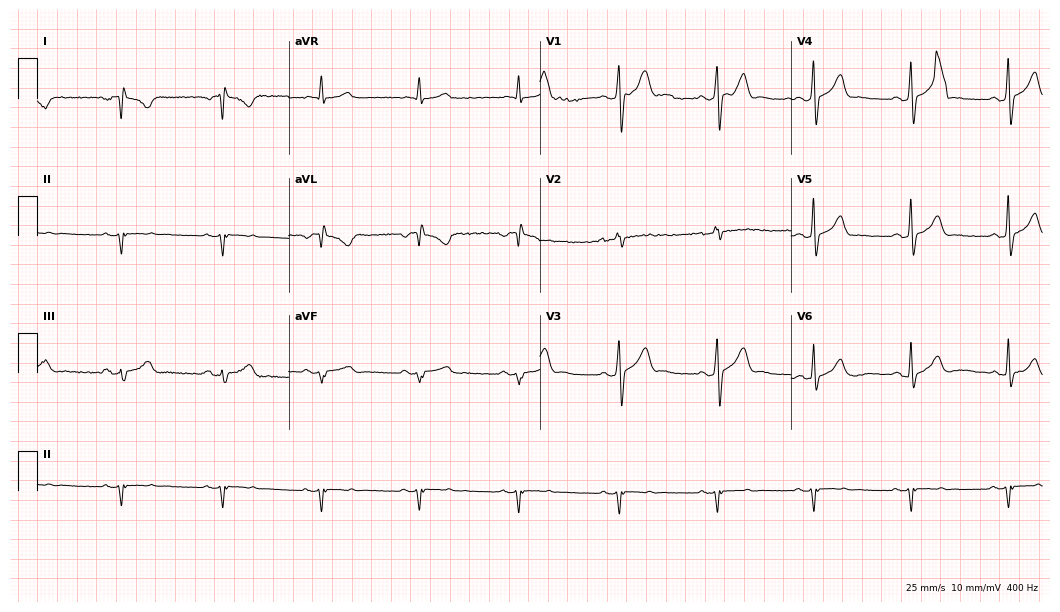
Resting 12-lead electrocardiogram (10.2-second recording at 400 Hz). Patient: a man, 34 years old. None of these six findings is recorded: first-degree AV block, right bundle branch block, left bundle branch block, sinus bradycardia, atrial fibrillation, sinus tachycardia.